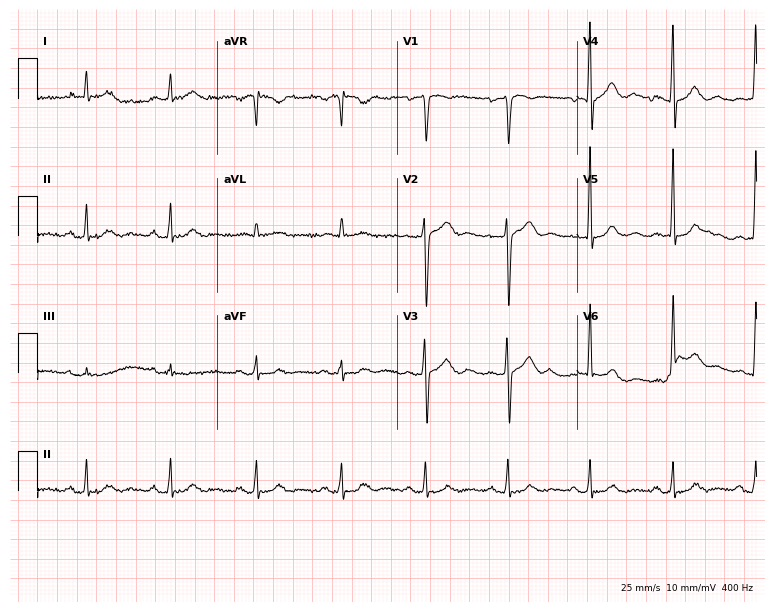
ECG (7.3-second recording at 400 Hz) — a 44-year-old man. Labelled as a normal ECG.